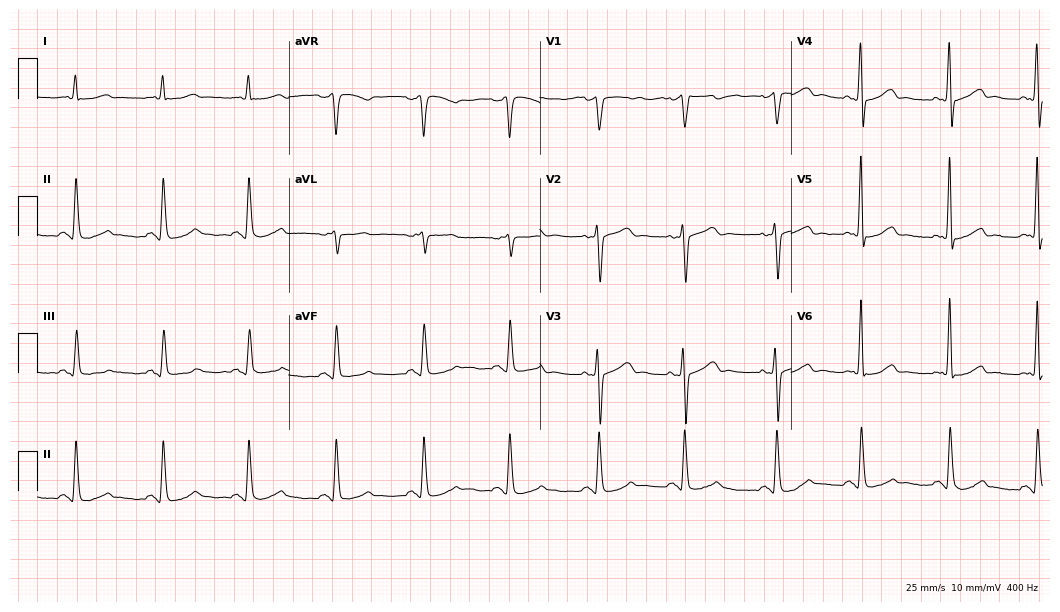
Standard 12-lead ECG recorded from a male patient, 63 years old (10.2-second recording at 400 Hz). None of these six findings is recorded: first-degree AV block, right bundle branch block, left bundle branch block, sinus bradycardia, atrial fibrillation, sinus tachycardia.